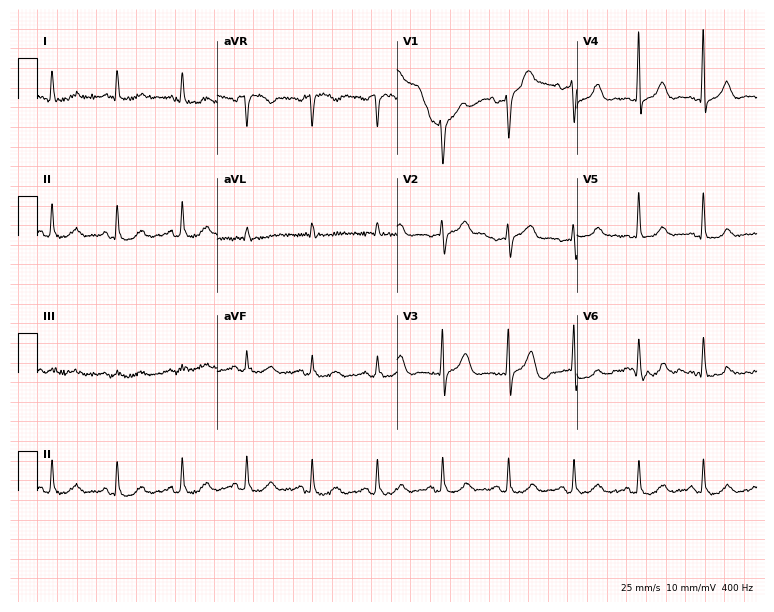
12-lead ECG from a male patient, 84 years old. No first-degree AV block, right bundle branch block, left bundle branch block, sinus bradycardia, atrial fibrillation or sinus tachycardia recorded for this tracing. Only these six findings were labelled.